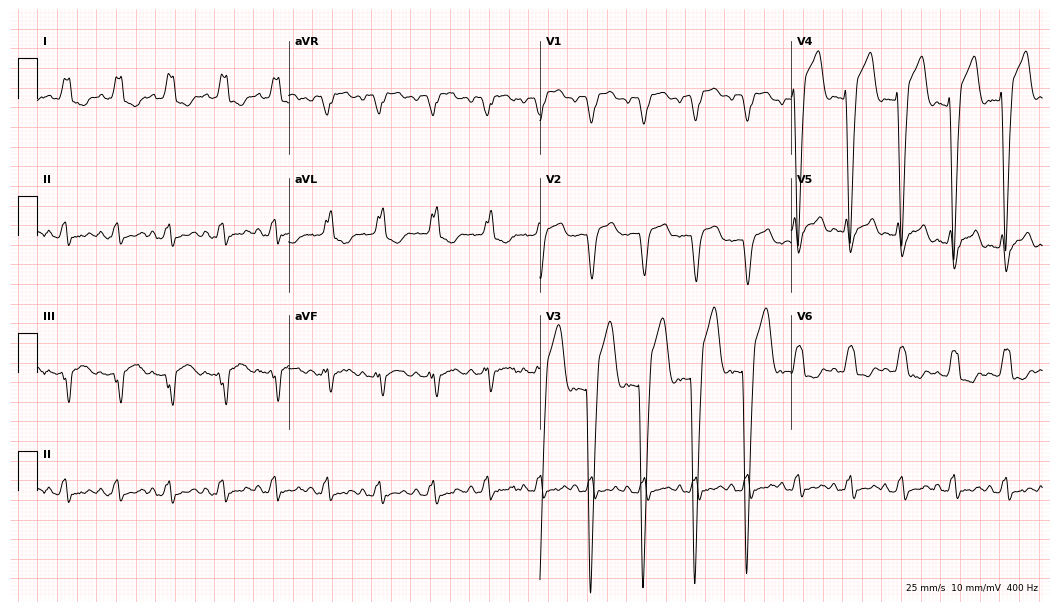
Electrocardiogram, a 61-year-old male. Interpretation includes left bundle branch block (LBBB), sinus tachycardia (a sinus rate of 100 beats per minute or more).